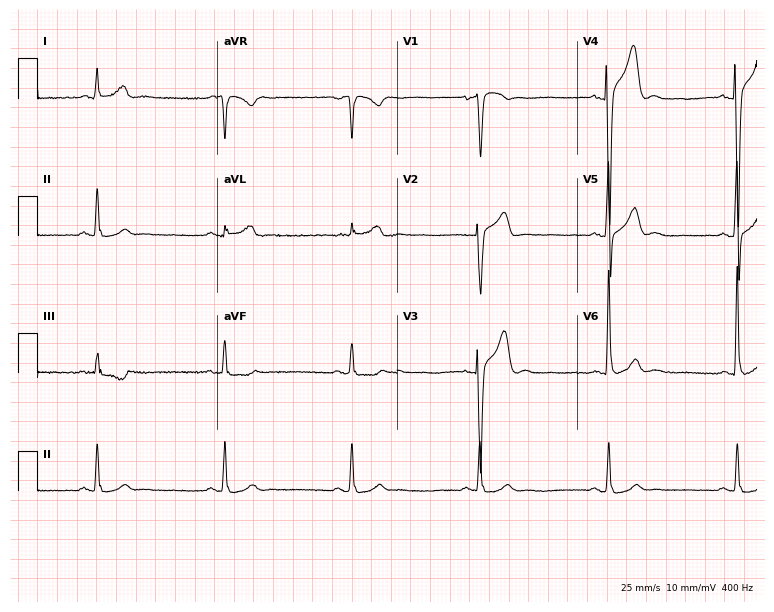
Electrocardiogram (7.3-second recording at 400 Hz), a male patient, 62 years old. Interpretation includes sinus bradycardia (a sinus rate of 50 beats per minute or less).